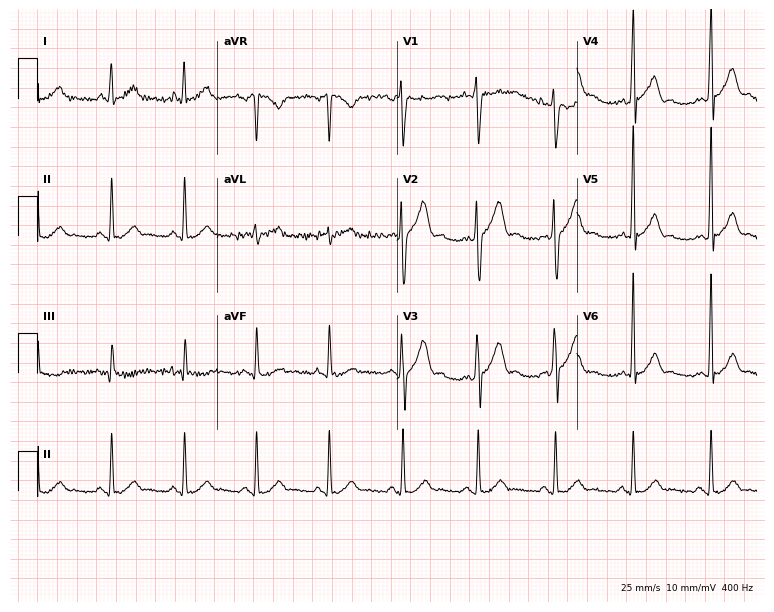
12-lead ECG from a 26-year-old male patient (7.3-second recording at 400 Hz). No first-degree AV block, right bundle branch block, left bundle branch block, sinus bradycardia, atrial fibrillation or sinus tachycardia recorded for this tracing.